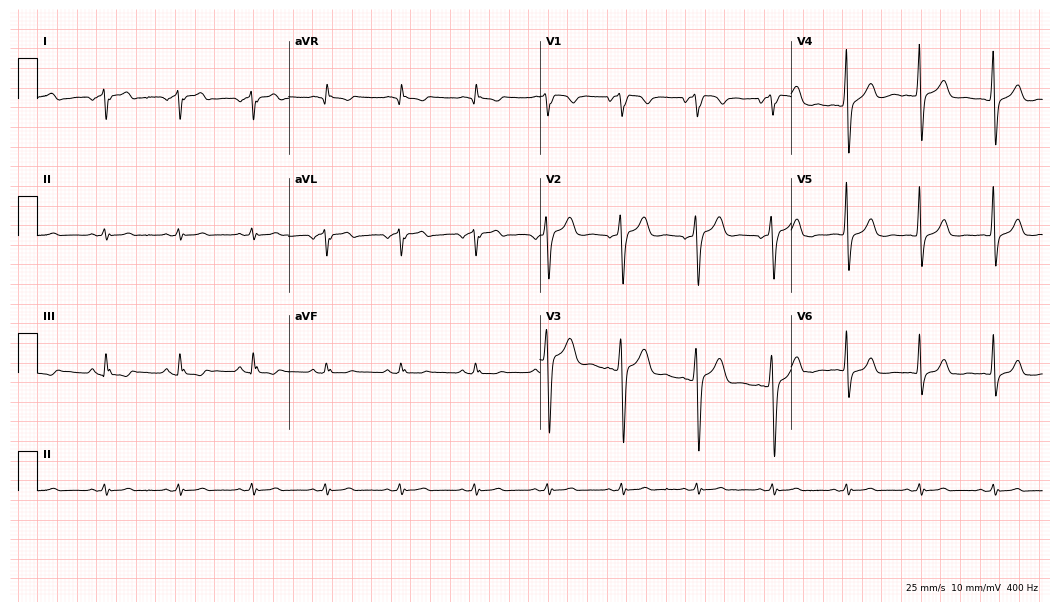
Electrocardiogram, a male patient, 42 years old. Of the six screened findings (first-degree AV block, right bundle branch block (RBBB), left bundle branch block (LBBB), sinus bradycardia, atrial fibrillation (AF), sinus tachycardia), none is recorded.